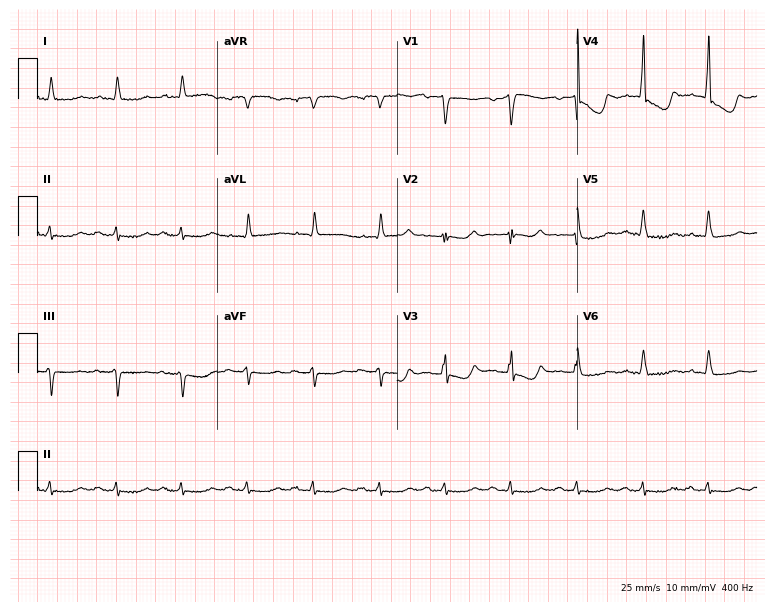
ECG (7.3-second recording at 400 Hz) — a male, 74 years old. Screened for six findings — first-degree AV block, right bundle branch block, left bundle branch block, sinus bradycardia, atrial fibrillation, sinus tachycardia — none is recorded. Only these six findings were labelled.